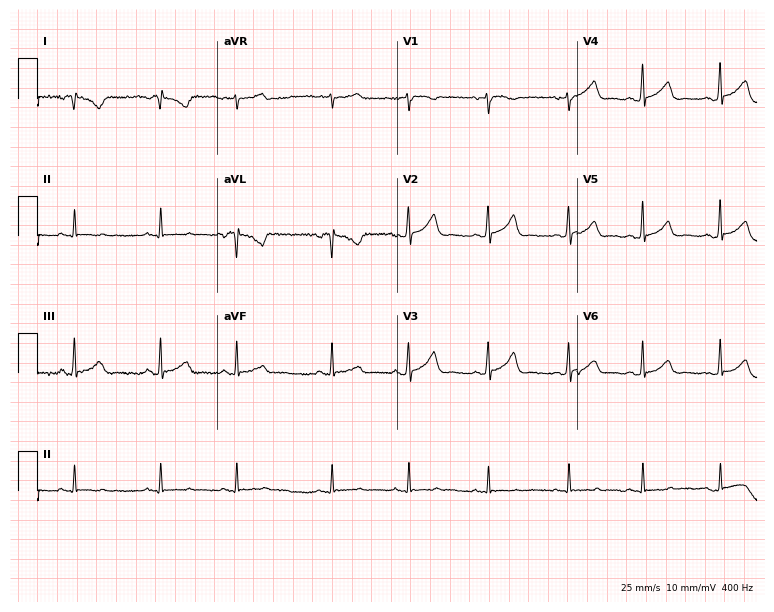
Resting 12-lead electrocardiogram (7.3-second recording at 400 Hz). Patient: a 21-year-old female. None of these six findings is recorded: first-degree AV block, right bundle branch block, left bundle branch block, sinus bradycardia, atrial fibrillation, sinus tachycardia.